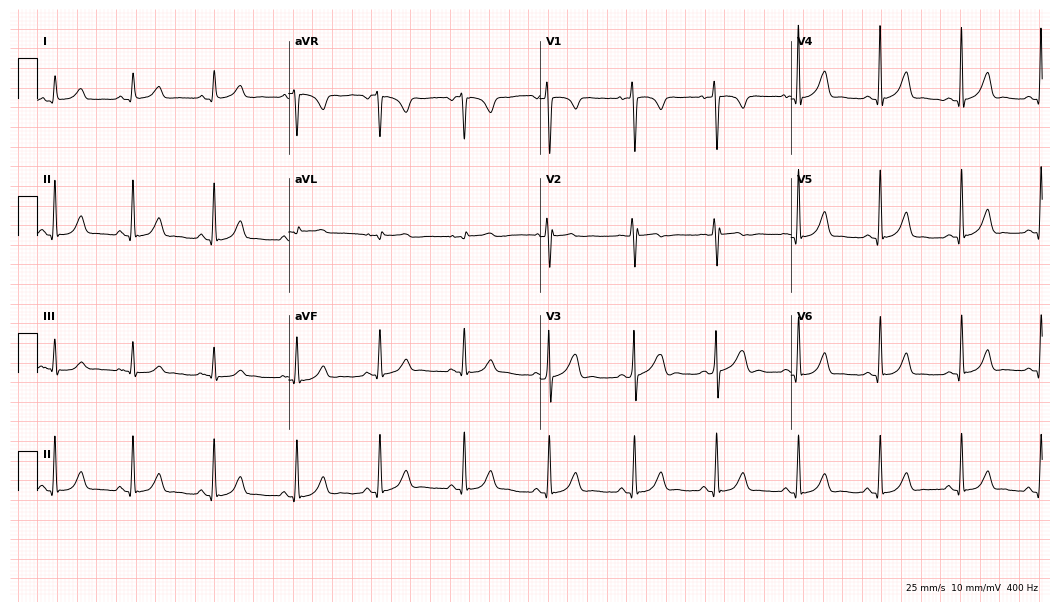
Resting 12-lead electrocardiogram. Patient: a male, 33 years old. Read as a normal ECG.